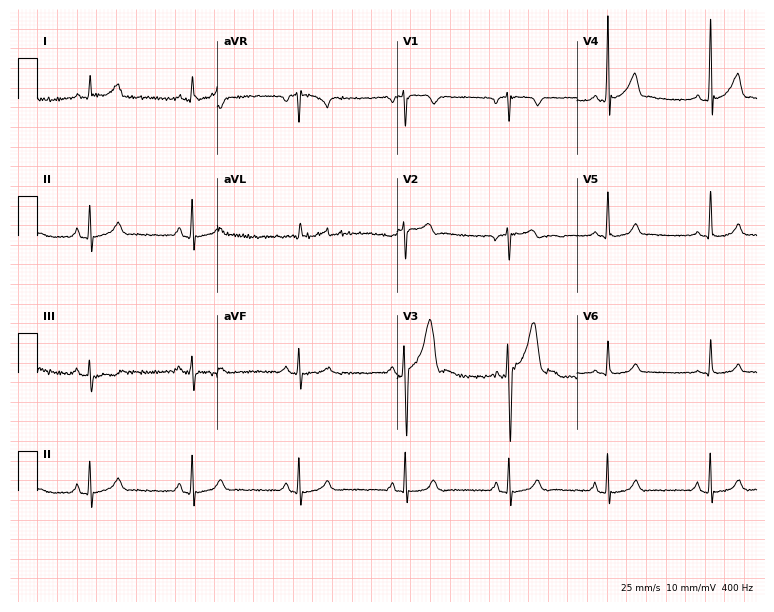
ECG — a 24-year-old man. Screened for six findings — first-degree AV block, right bundle branch block, left bundle branch block, sinus bradycardia, atrial fibrillation, sinus tachycardia — none is recorded.